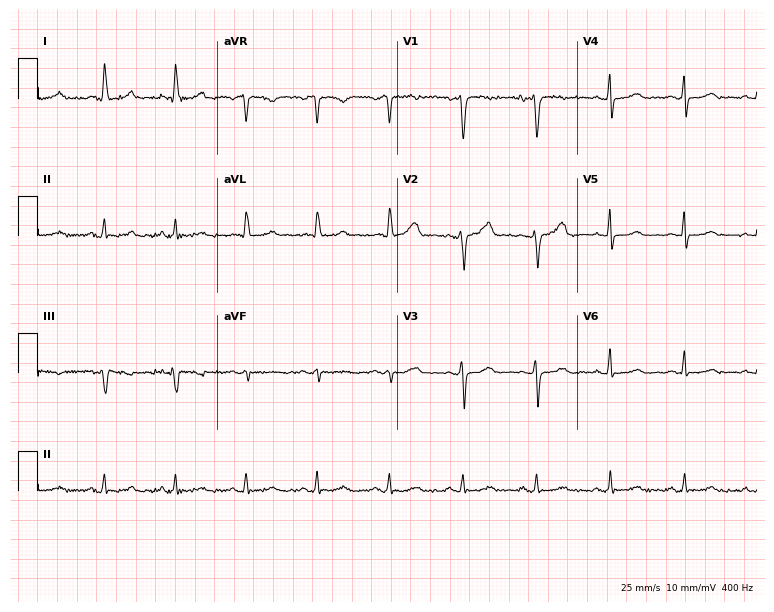
12-lead ECG from a female, 43 years old. No first-degree AV block, right bundle branch block (RBBB), left bundle branch block (LBBB), sinus bradycardia, atrial fibrillation (AF) or sinus tachycardia recorded for this tracing.